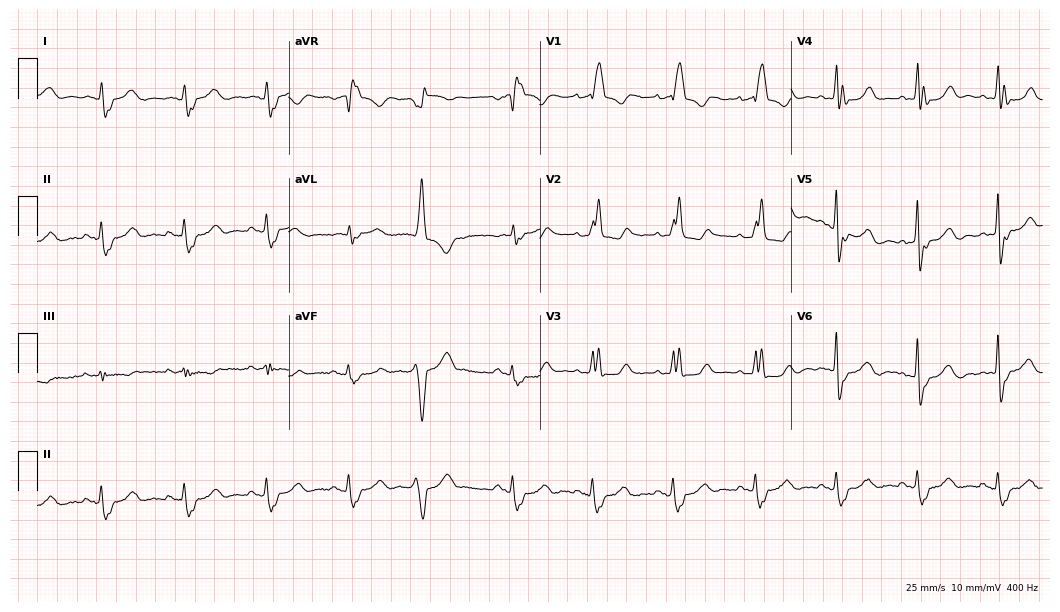
ECG (10.2-second recording at 400 Hz) — a female, 78 years old. Findings include right bundle branch block.